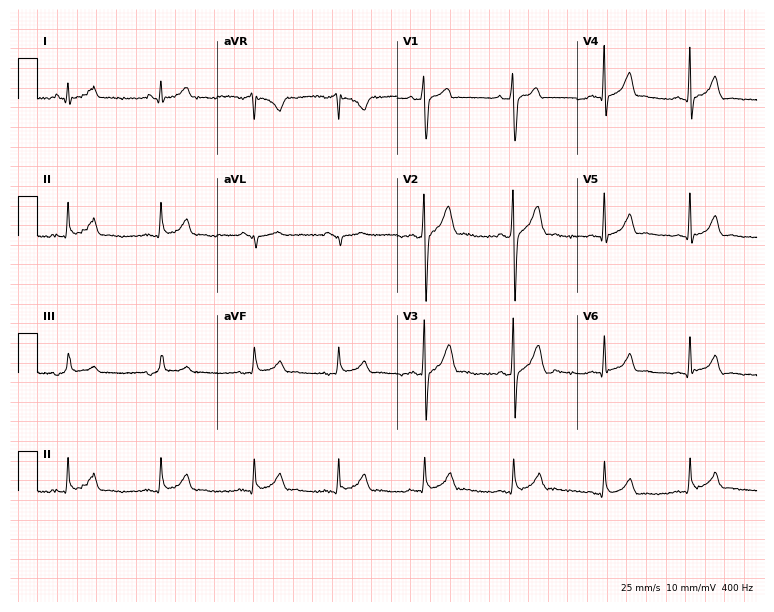
12-lead ECG (7.3-second recording at 400 Hz) from a male, 18 years old. Screened for six findings — first-degree AV block, right bundle branch block, left bundle branch block, sinus bradycardia, atrial fibrillation, sinus tachycardia — none is recorded.